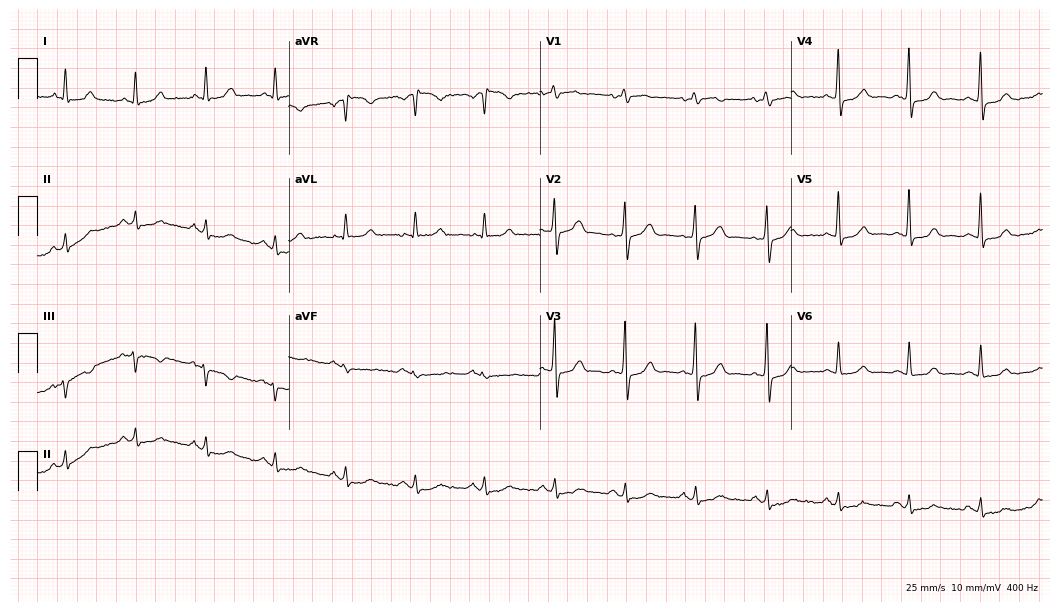
12-lead ECG from a woman, 69 years old. Labelled as a normal ECG.